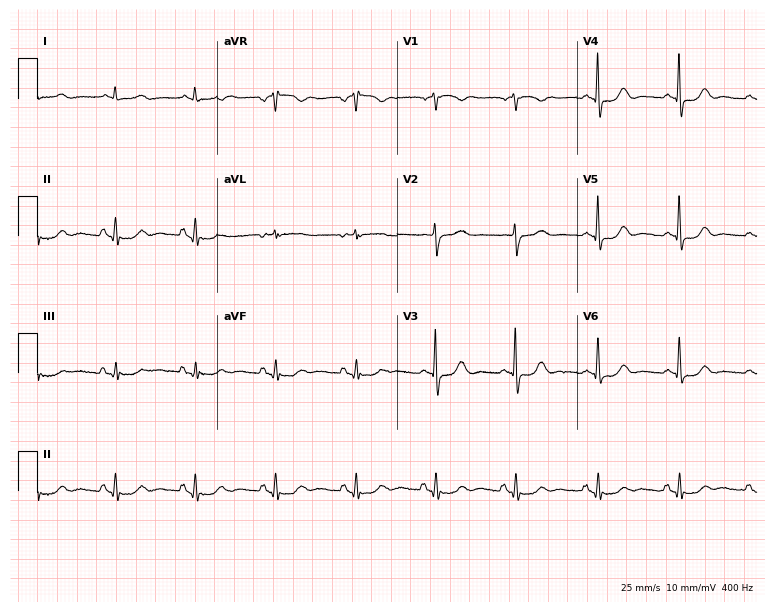
Electrocardiogram (7.3-second recording at 400 Hz), a 79-year-old female patient. Overall reading on record: normal ECG.